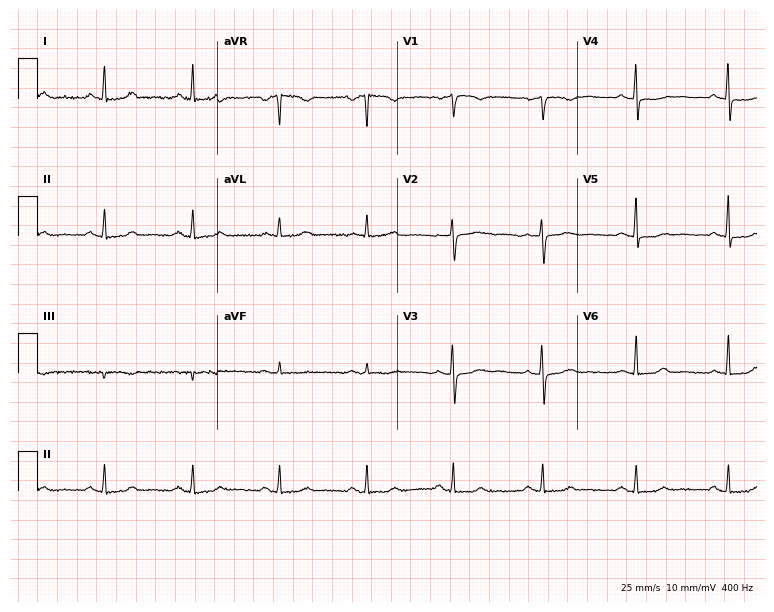
ECG (7.3-second recording at 400 Hz) — a female, 55 years old. Labelled as a normal ECG.